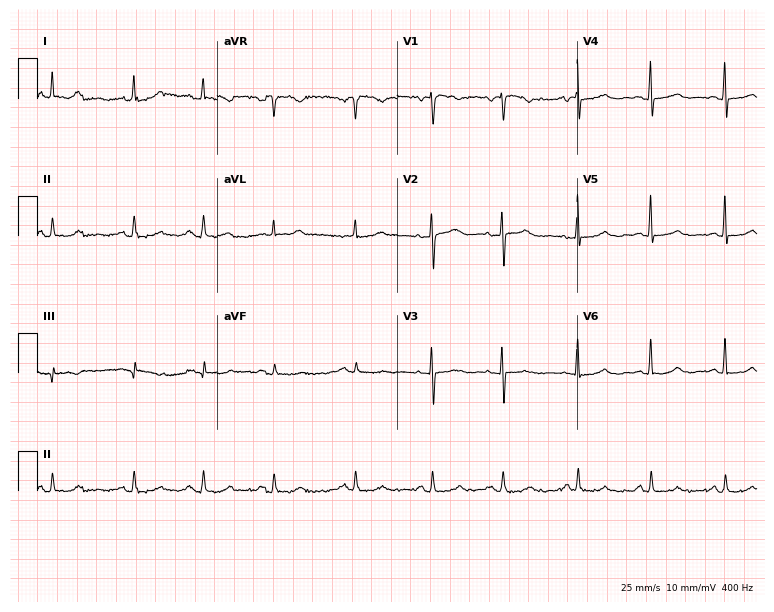
12-lead ECG from an 80-year-old woman. Recorded interpretation: within normal limits.